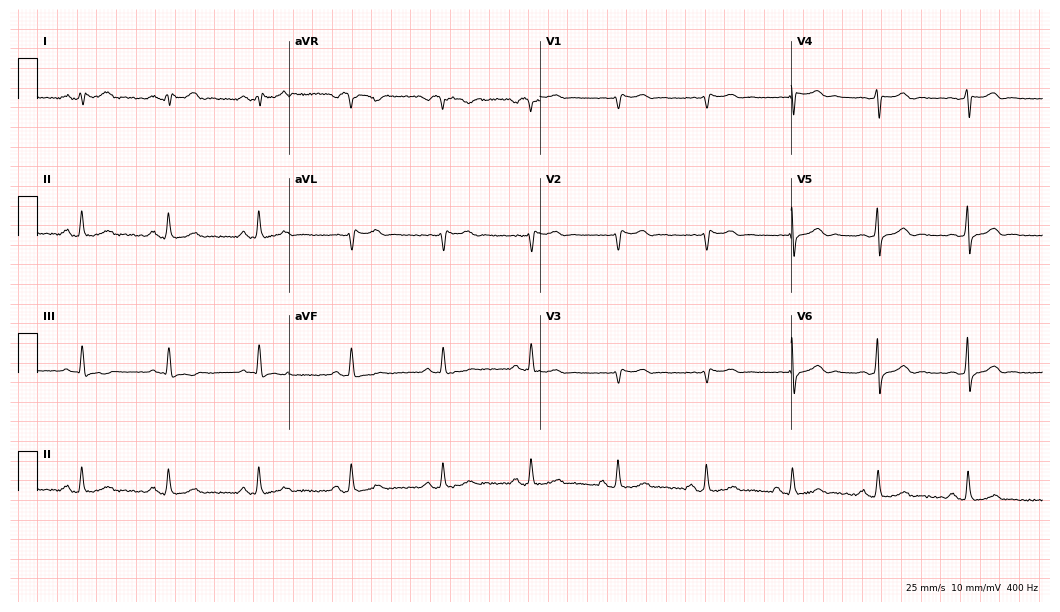
12-lead ECG from a man, 54 years old. Screened for six findings — first-degree AV block, right bundle branch block, left bundle branch block, sinus bradycardia, atrial fibrillation, sinus tachycardia — none is recorded. Findings outside these six are not listed.